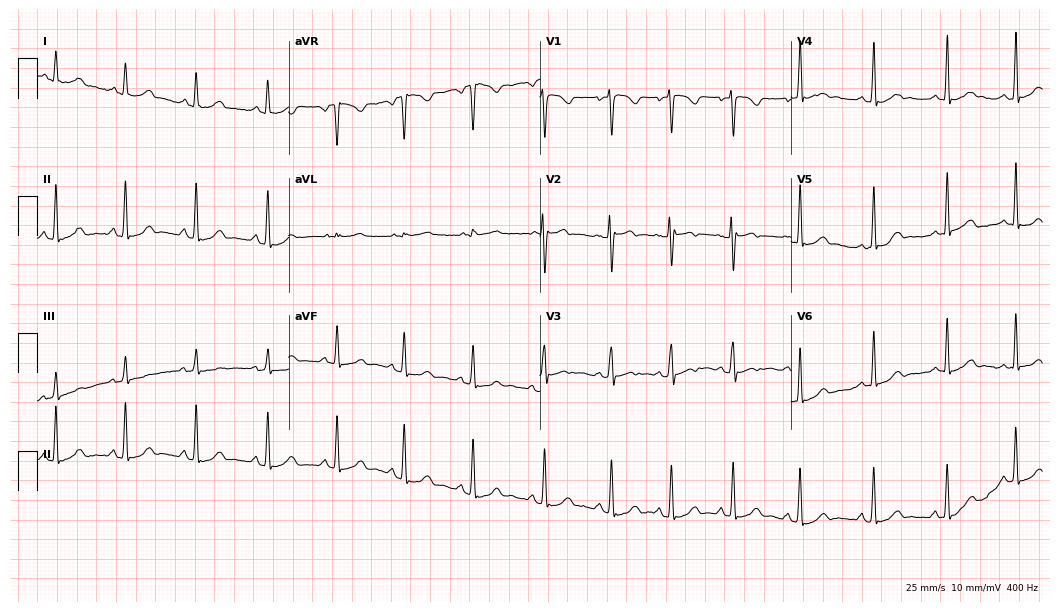
12-lead ECG from a 19-year-old woman. Recorded interpretation: within normal limits.